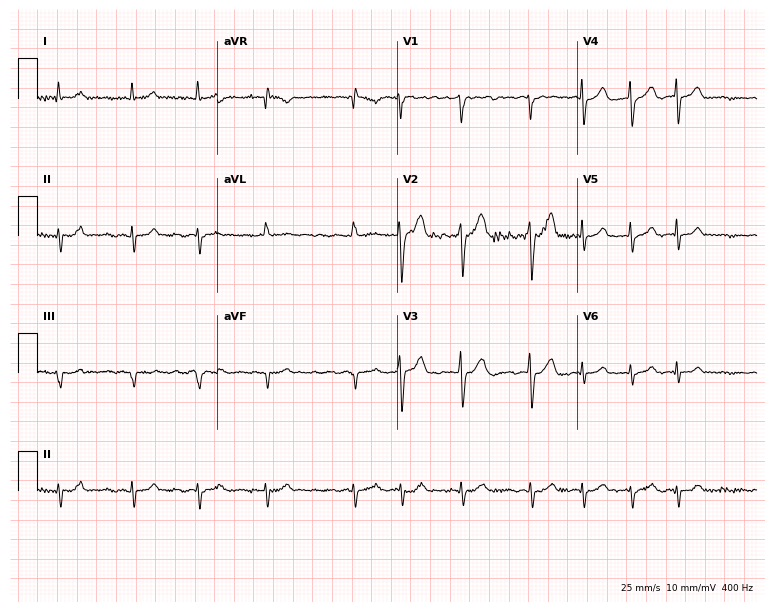
Electrocardiogram (7.3-second recording at 400 Hz), a man, 67 years old. Of the six screened findings (first-degree AV block, right bundle branch block, left bundle branch block, sinus bradycardia, atrial fibrillation, sinus tachycardia), none is recorded.